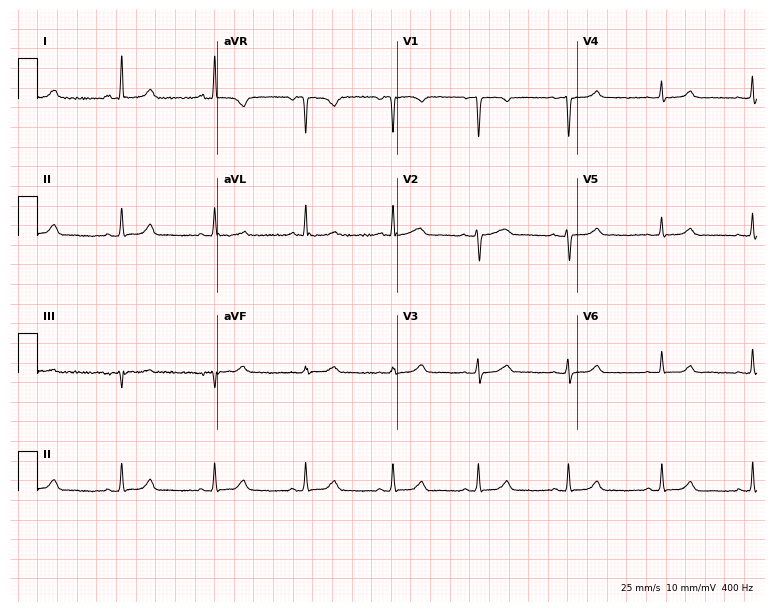
ECG — a 58-year-old female patient. Labelled as a normal ECG.